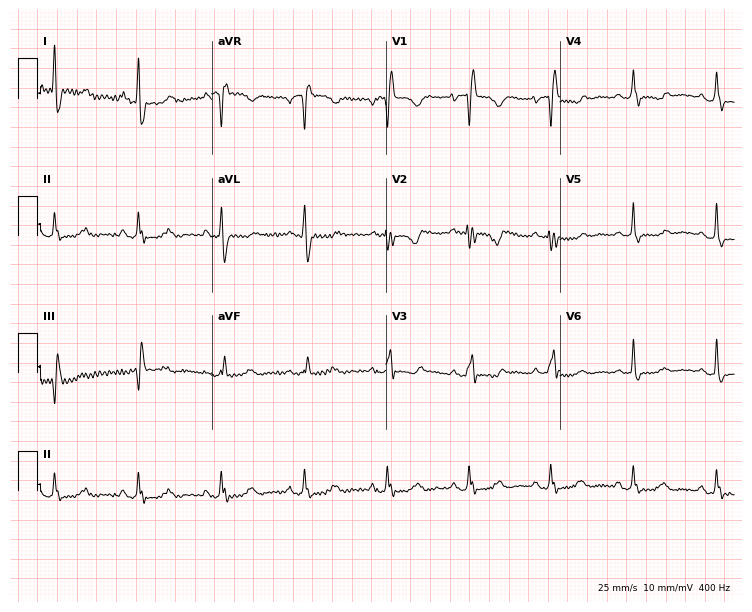
12-lead ECG from a 26-year-old female patient. Screened for six findings — first-degree AV block, right bundle branch block, left bundle branch block, sinus bradycardia, atrial fibrillation, sinus tachycardia — none is recorded.